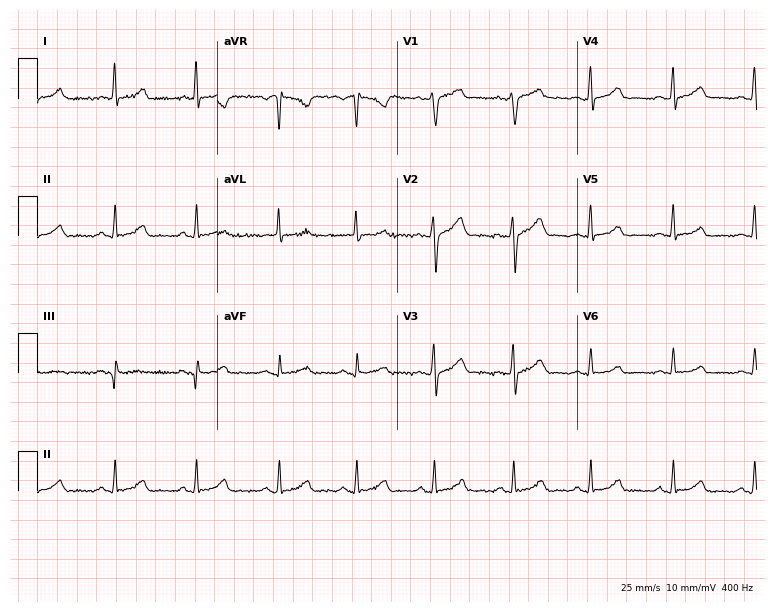
Resting 12-lead electrocardiogram. Patient: a 35-year-old male. Read as a normal ECG.